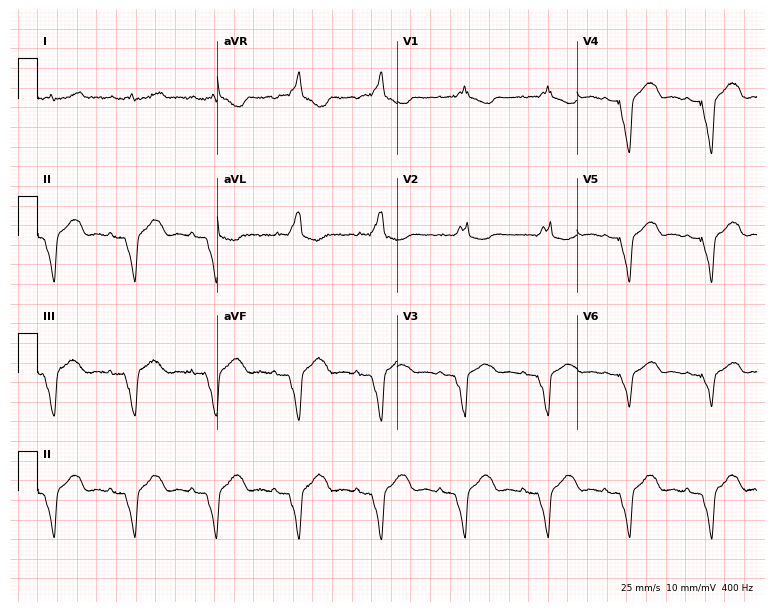
Resting 12-lead electrocardiogram. Patient: a female, 73 years old. None of these six findings is recorded: first-degree AV block, right bundle branch block, left bundle branch block, sinus bradycardia, atrial fibrillation, sinus tachycardia. Only these six findings were labelled.